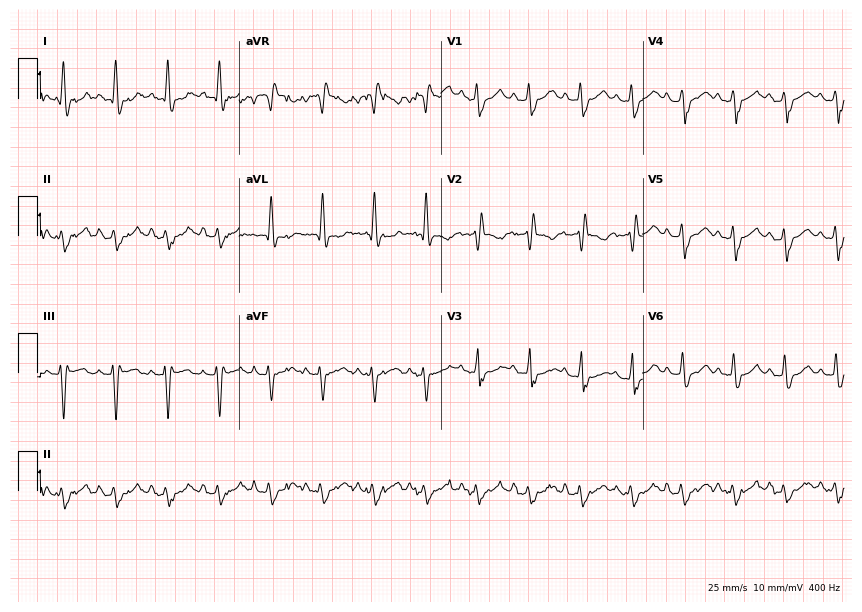
Standard 12-lead ECG recorded from a 38-year-old man (8.2-second recording at 400 Hz). The tracing shows right bundle branch block, sinus tachycardia (a sinus rate of 100 beats per minute or more).